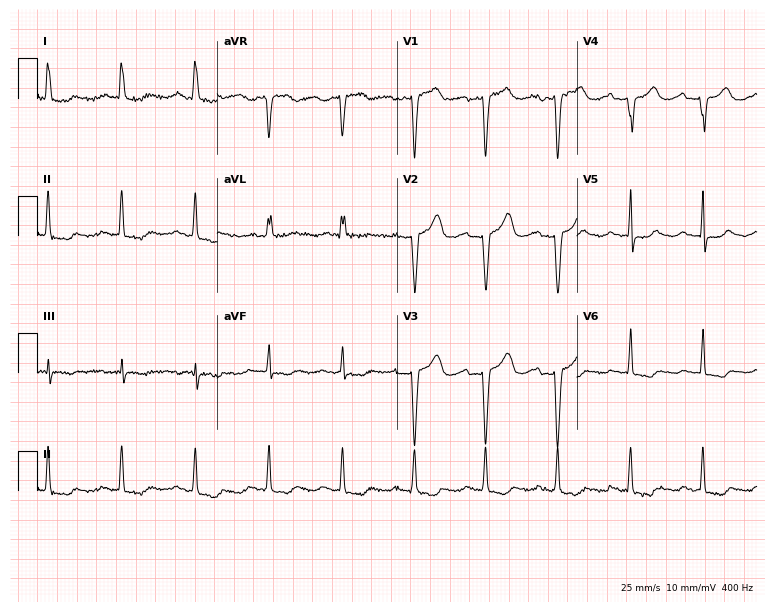
12-lead ECG from a 65-year-old woman. Screened for six findings — first-degree AV block, right bundle branch block, left bundle branch block, sinus bradycardia, atrial fibrillation, sinus tachycardia — none is recorded. Only these six findings were labelled.